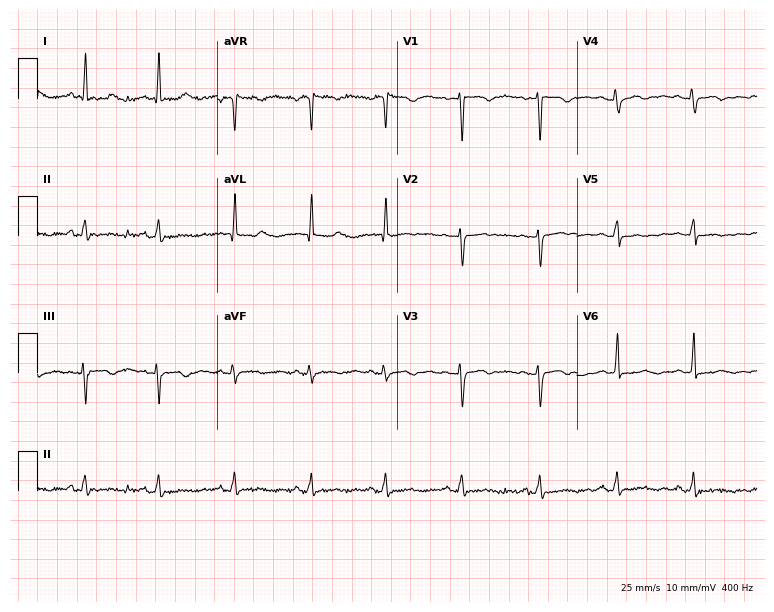
Standard 12-lead ECG recorded from a female, 41 years old. Read as a normal ECG.